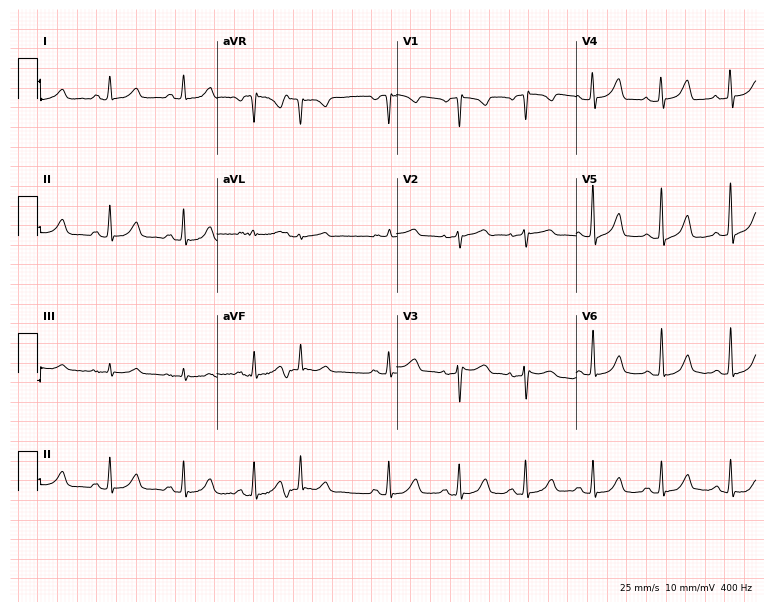
Standard 12-lead ECG recorded from a 50-year-old female (7.3-second recording at 400 Hz). None of these six findings is recorded: first-degree AV block, right bundle branch block, left bundle branch block, sinus bradycardia, atrial fibrillation, sinus tachycardia. Other findings, if any, are not listed.